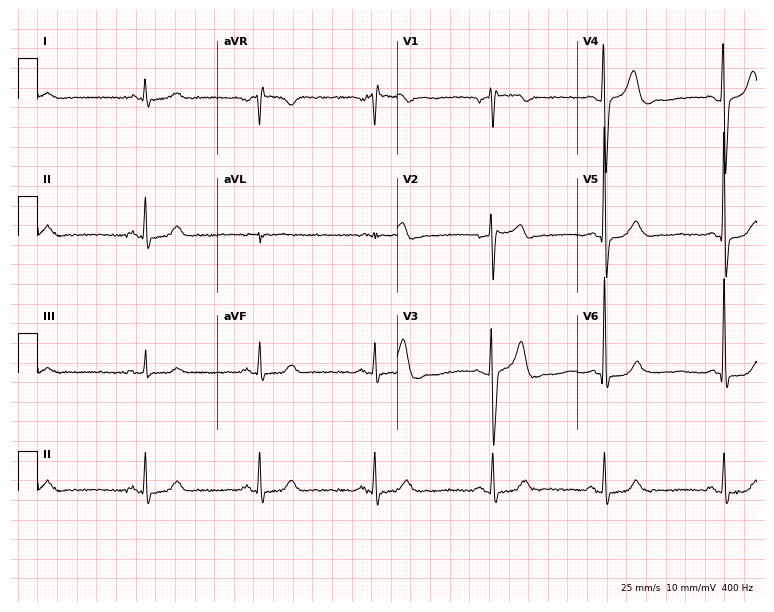
12-lead ECG (7.3-second recording at 400 Hz) from a 64-year-old man. Labelled as a normal ECG.